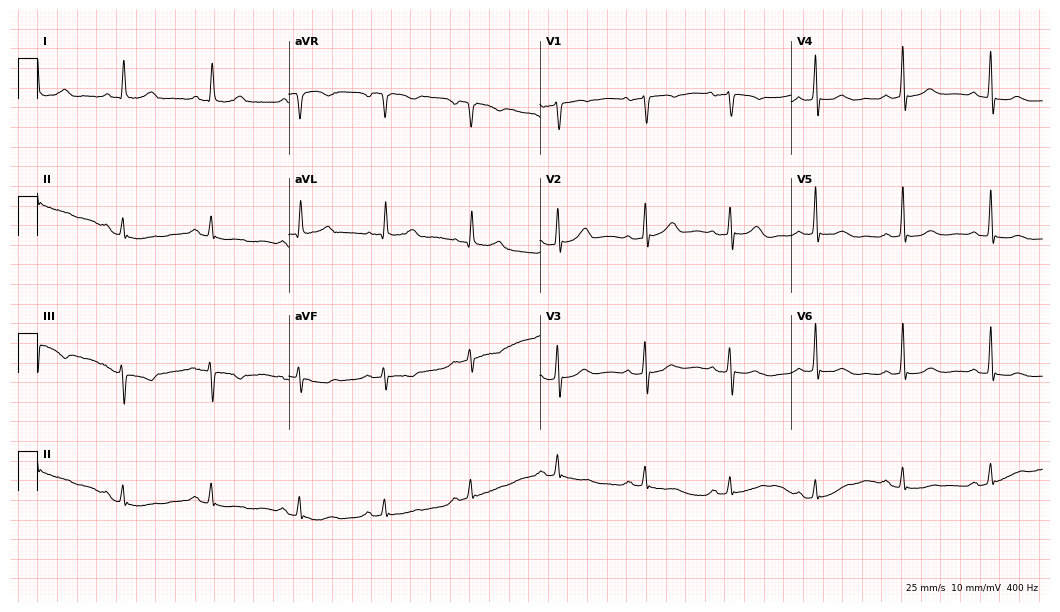
12-lead ECG (10.2-second recording at 400 Hz) from a 76-year-old woman. Labelled as a normal ECG.